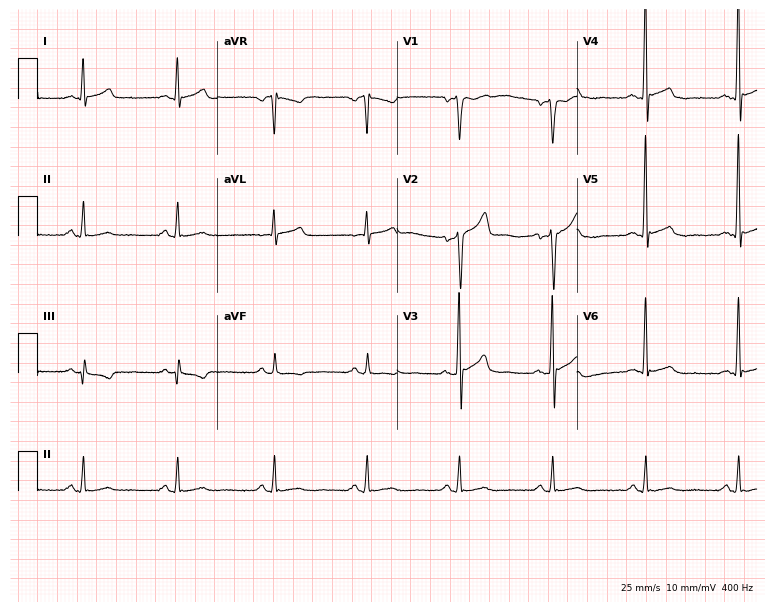
Resting 12-lead electrocardiogram (7.3-second recording at 400 Hz). Patient: a man, 55 years old. Read as a normal ECG.